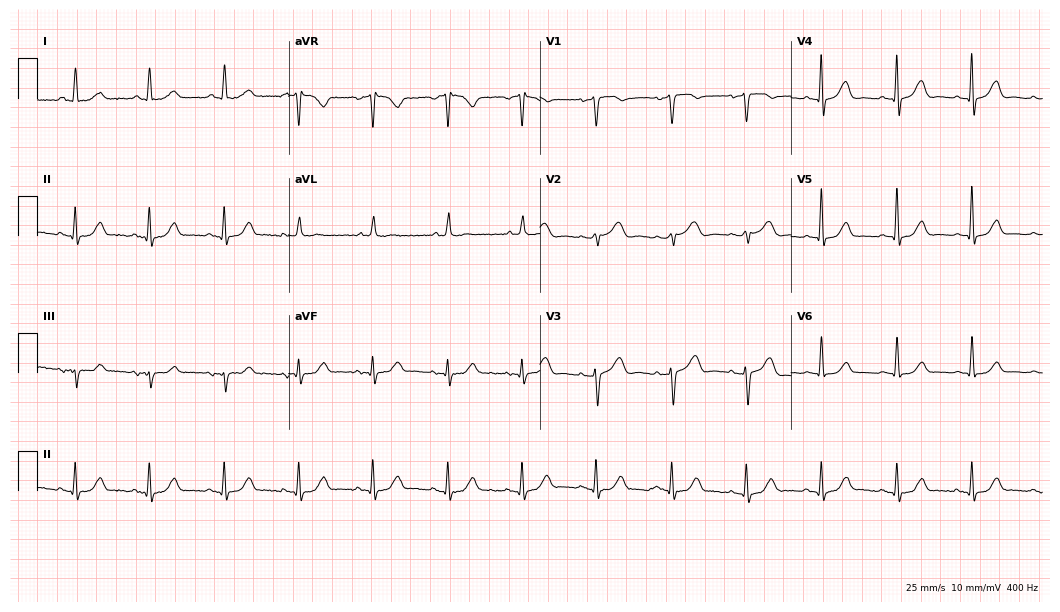
Electrocardiogram, a 79-year-old female patient. Overall reading on record: normal ECG.